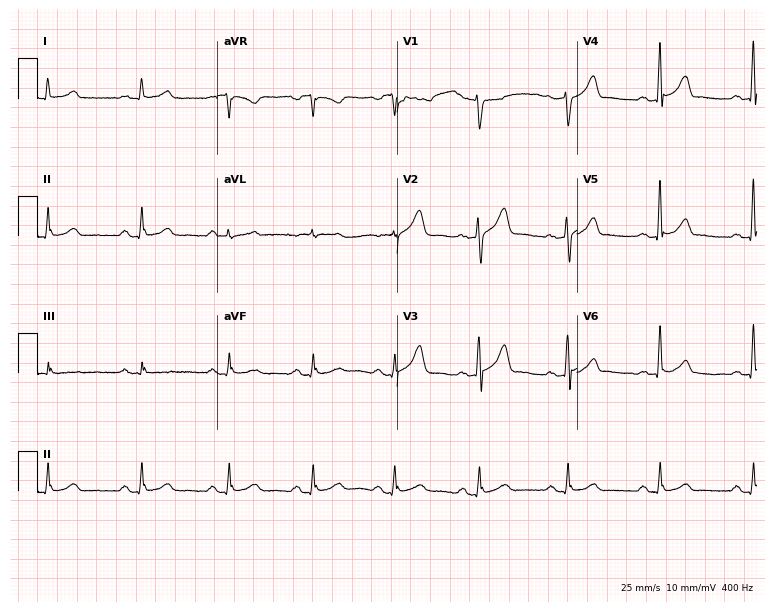
12-lead ECG from a 37-year-old male. Labelled as a normal ECG.